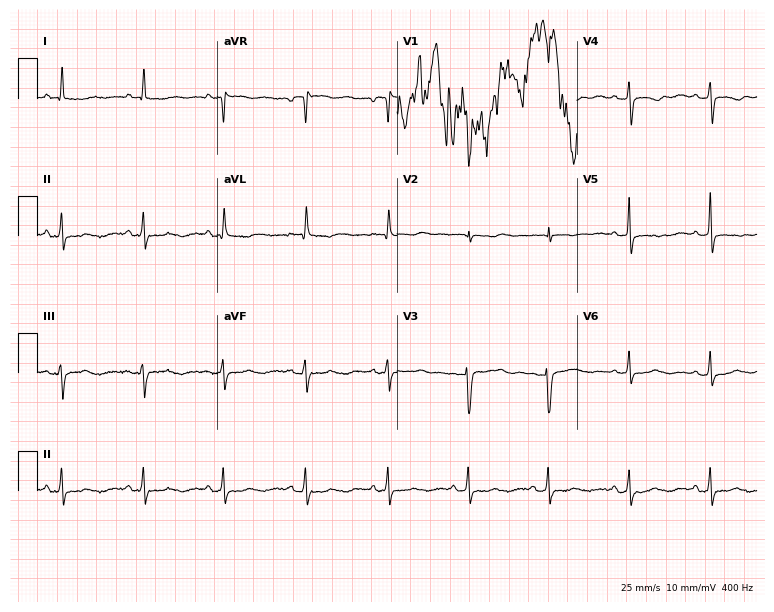
12-lead ECG from a 76-year-old woman. Screened for six findings — first-degree AV block, right bundle branch block, left bundle branch block, sinus bradycardia, atrial fibrillation, sinus tachycardia — none is recorded.